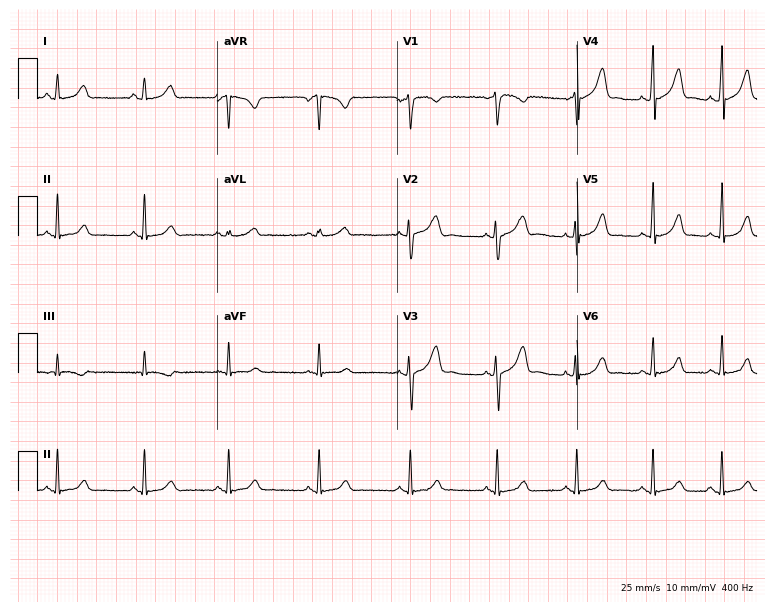
12-lead ECG from a female, 19 years old. Recorded interpretation: within normal limits.